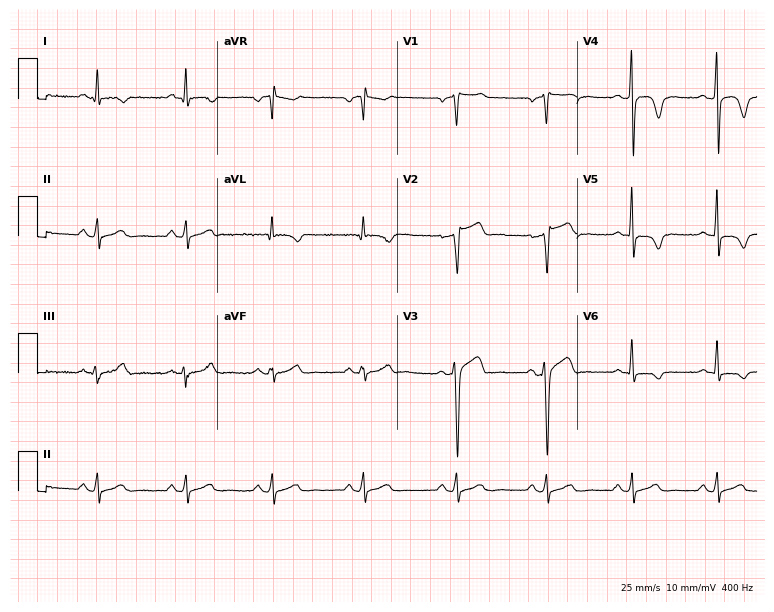
ECG — a 38-year-old male. Screened for six findings — first-degree AV block, right bundle branch block, left bundle branch block, sinus bradycardia, atrial fibrillation, sinus tachycardia — none is recorded. Other findings, if any, are not listed.